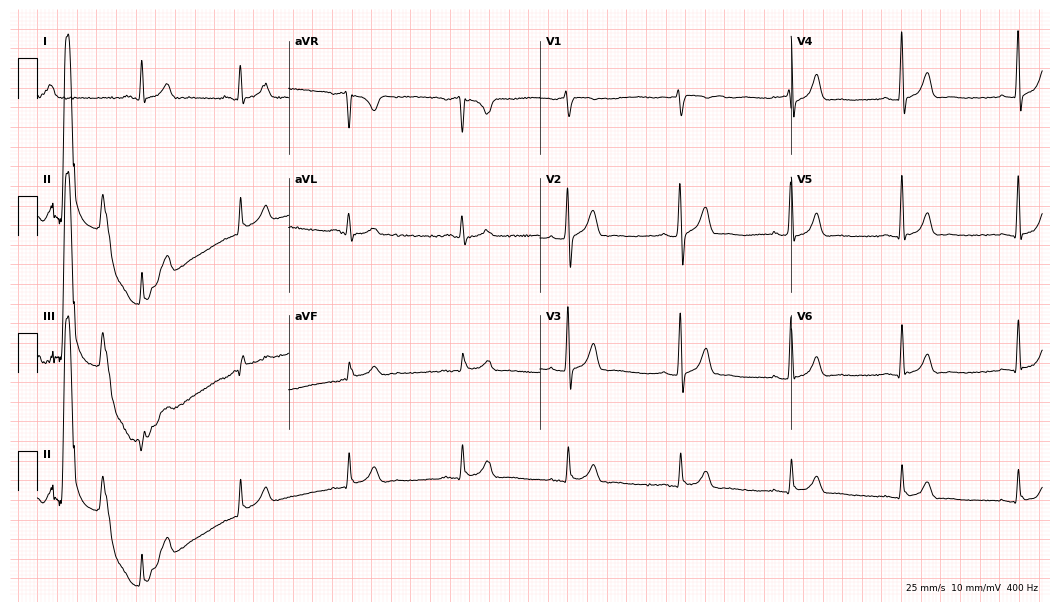
12-lead ECG from a 44-year-old man. No first-degree AV block, right bundle branch block, left bundle branch block, sinus bradycardia, atrial fibrillation or sinus tachycardia recorded for this tracing. Only these six findings were labelled.